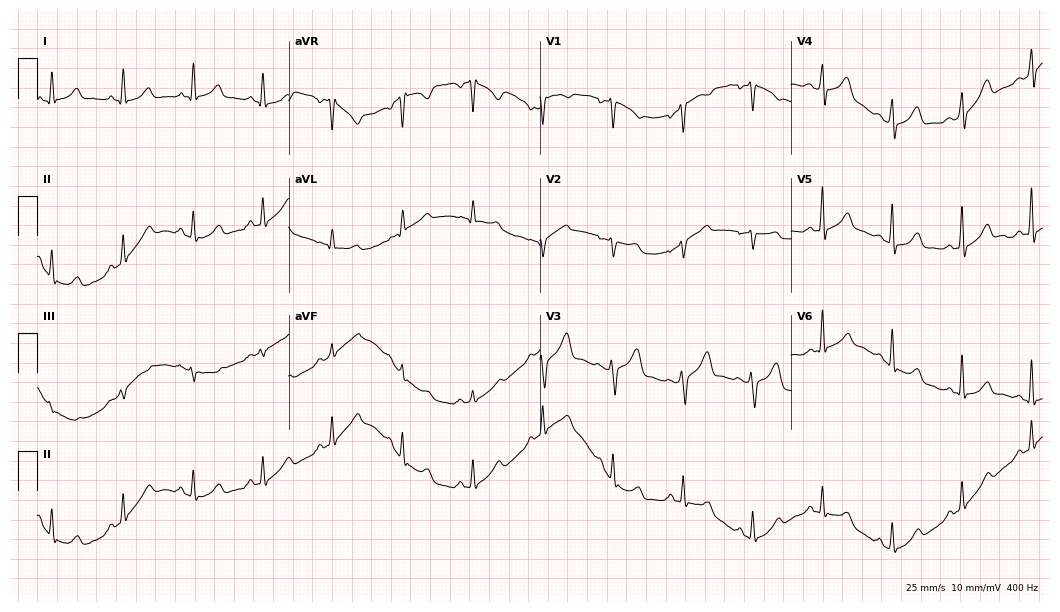
Electrocardiogram, a 51-year-old female patient. Overall reading on record: normal ECG.